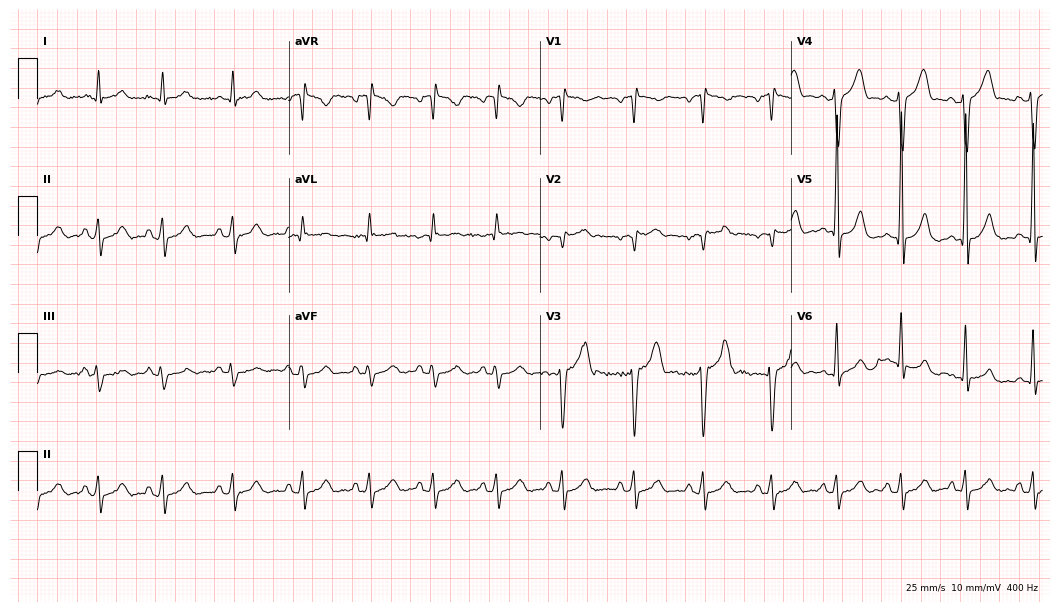
12-lead ECG from a male, 40 years old. Recorded interpretation: within normal limits.